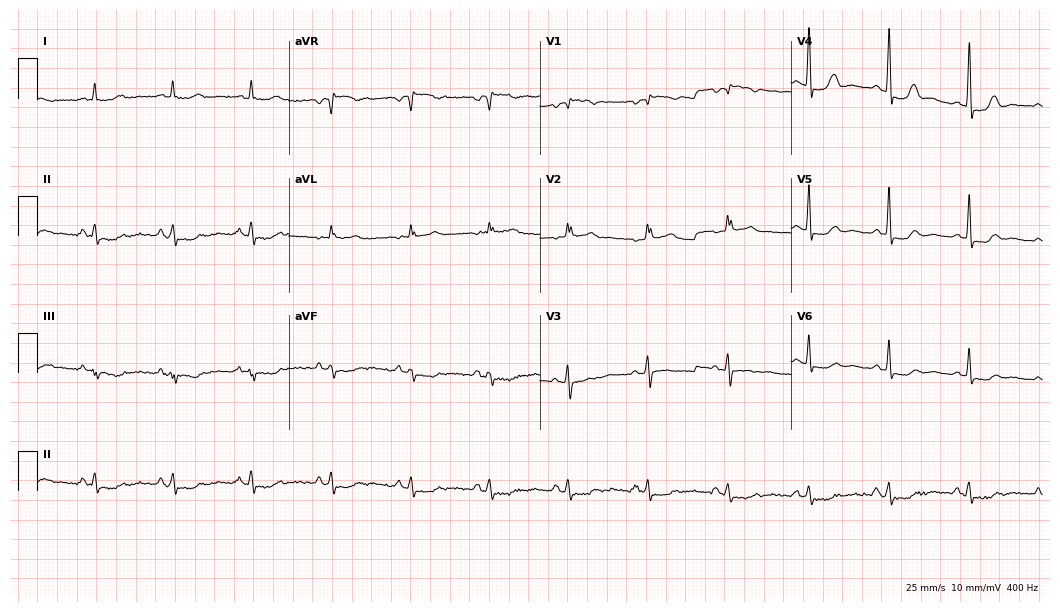
Standard 12-lead ECG recorded from a female, 54 years old. None of these six findings is recorded: first-degree AV block, right bundle branch block, left bundle branch block, sinus bradycardia, atrial fibrillation, sinus tachycardia. Findings outside these six are not listed.